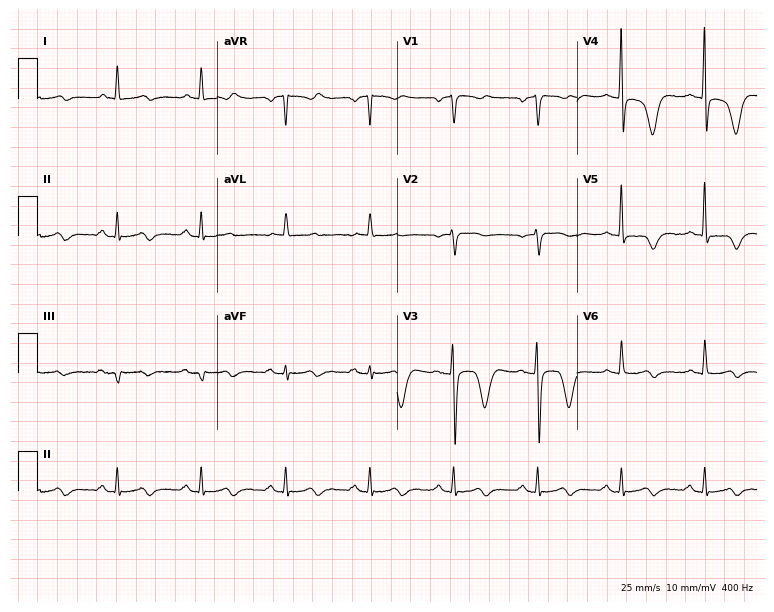
ECG — a man, 74 years old. Screened for six findings — first-degree AV block, right bundle branch block (RBBB), left bundle branch block (LBBB), sinus bradycardia, atrial fibrillation (AF), sinus tachycardia — none is recorded. Only these six findings were labelled.